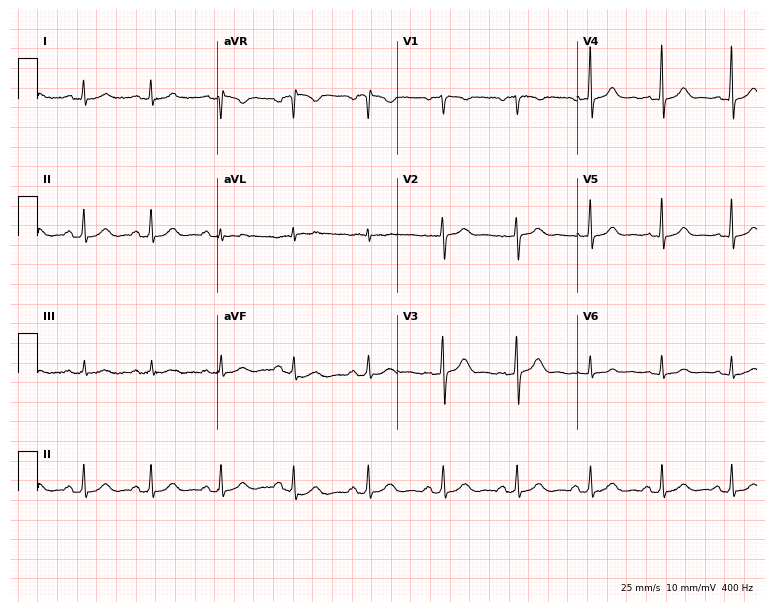
Resting 12-lead electrocardiogram. Patient: a female, 38 years old. Read as a normal ECG.